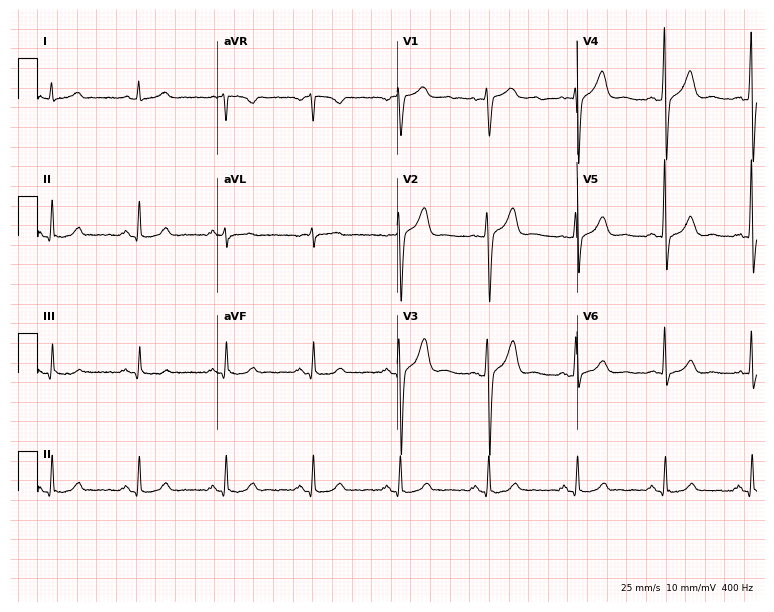
ECG (7.3-second recording at 400 Hz) — a male, 74 years old. Screened for six findings — first-degree AV block, right bundle branch block (RBBB), left bundle branch block (LBBB), sinus bradycardia, atrial fibrillation (AF), sinus tachycardia — none is recorded. Other findings, if any, are not listed.